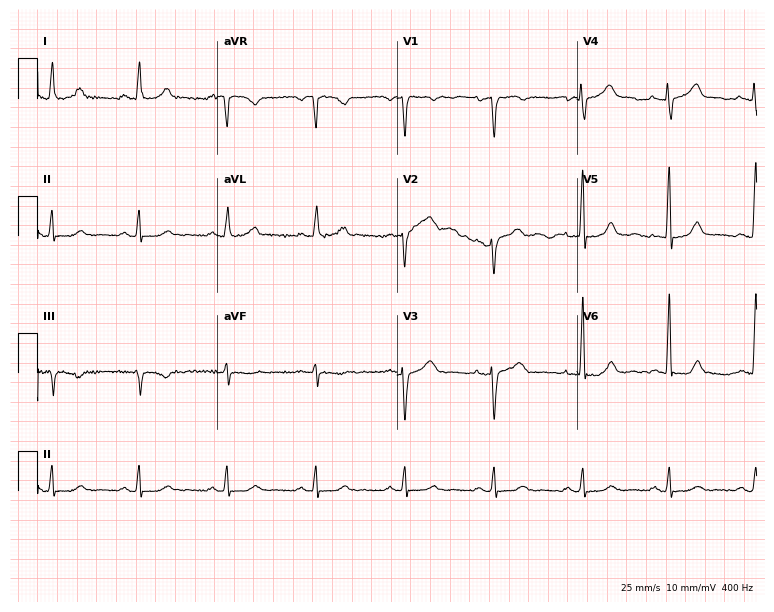
Electrocardiogram, a 63-year-old woman. Of the six screened findings (first-degree AV block, right bundle branch block (RBBB), left bundle branch block (LBBB), sinus bradycardia, atrial fibrillation (AF), sinus tachycardia), none is recorded. Only these six findings were labelled.